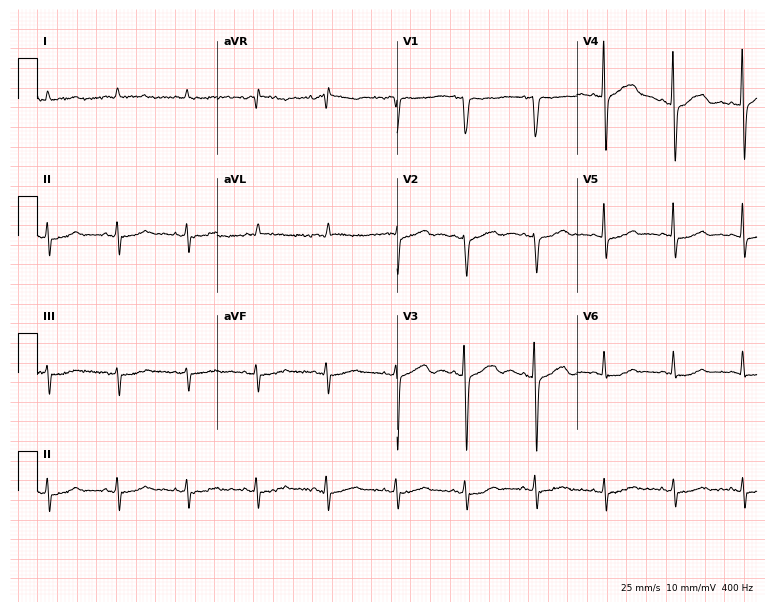
Resting 12-lead electrocardiogram. Patient: a female, 83 years old. None of these six findings is recorded: first-degree AV block, right bundle branch block, left bundle branch block, sinus bradycardia, atrial fibrillation, sinus tachycardia.